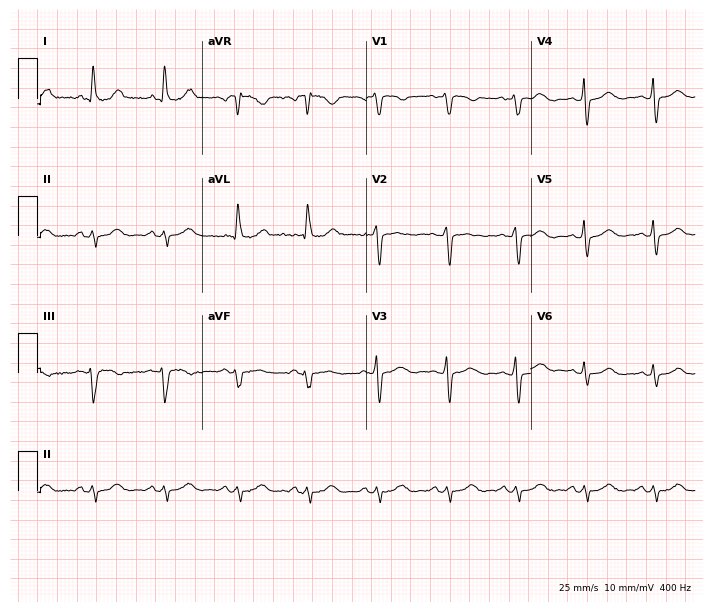
12-lead ECG from a 76-year-old woman. Screened for six findings — first-degree AV block, right bundle branch block, left bundle branch block, sinus bradycardia, atrial fibrillation, sinus tachycardia — none is recorded.